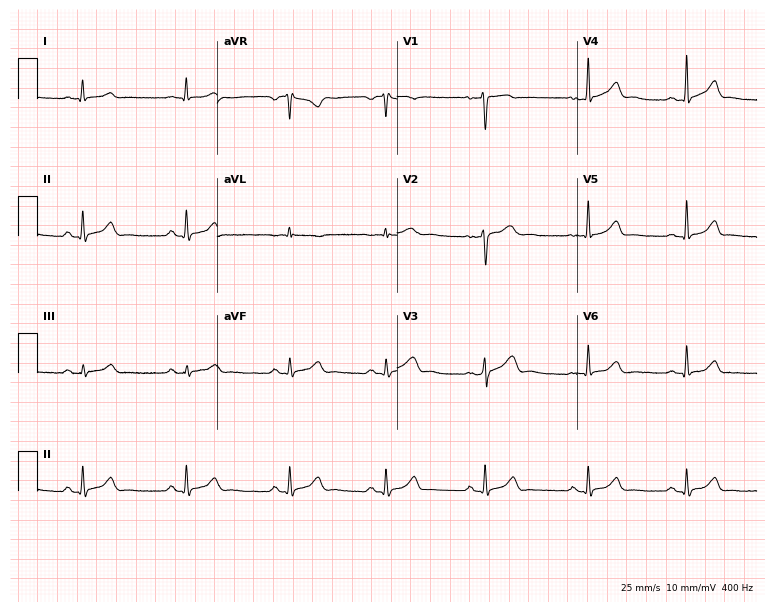
Resting 12-lead electrocardiogram (7.3-second recording at 400 Hz). Patient: a female, 30 years old. Read as a normal ECG.